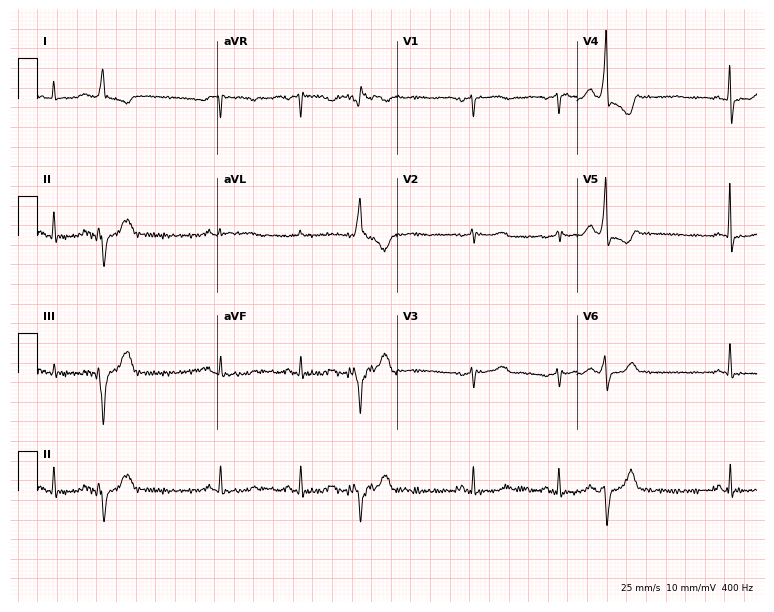
12-lead ECG from a female, 43 years old (7.3-second recording at 400 Hz). No first-degree AV block, right bundle branch block, left bundle branch block, sinus bradycardia, atrial fibrillation or sinus tachycardia recorded for this tracing. Other findings, if any, are not listed.